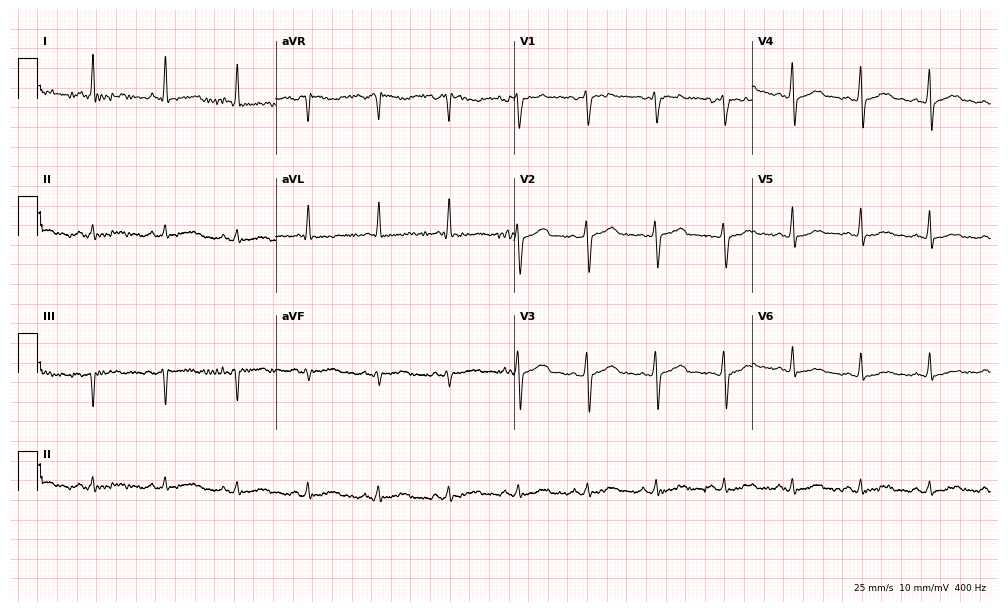
Standard 12-lead ECG recorded from a male patient, 51 years old (9.7-second recording at 400 Hz). None of these six findings is recorded: first-degree AV block, right bundle branch block, left bundle branch block, sinus bradycardia, atrial fibrillation, sinus tachycardia. Findings outside these six are not listed.